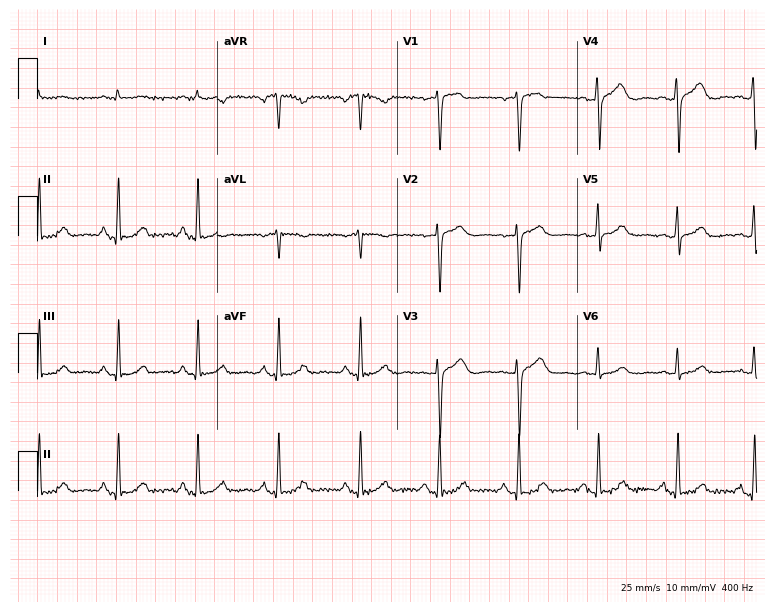
Standard 12-lead ECG recorded from a 48-year-old female (7.3-second recording at 400 Hz). None of these six findings is recorded: first-degree AV block, right bundle branch block, left bundle branch block, sinus bradycardia, atrial fibrillation, sinus tachycardia.